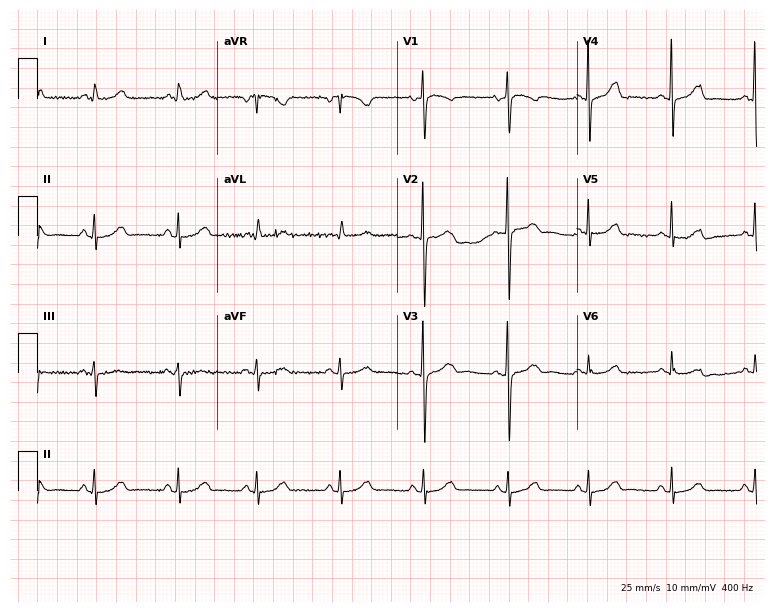
12-lead ECG from a female patient, 83 years old (7.3-second recording at 400 Hz). Recorded interpretation: within normal limits.